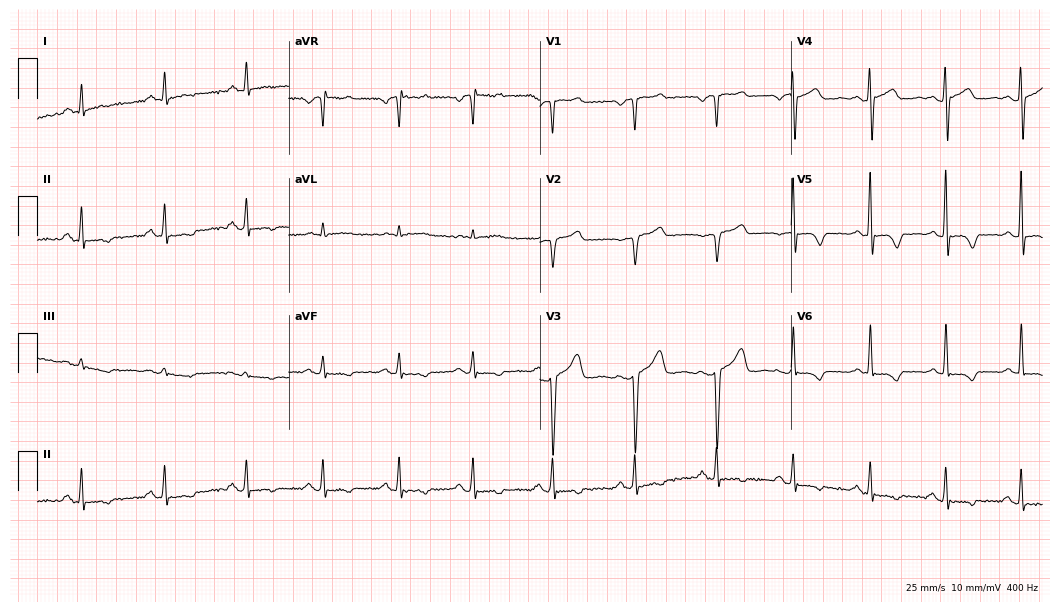
Resting 12-lead electrocardiogram (10.2-second recording at 400 Hz). Patient: a 55-year-old woman. None of these six findings is recorded: first-degree AV block, right bundle branch block (RBBB), left bundle branch block (LBBB), sinus bradycardia, atrial fibrillation (AF), sinus tachycardia. Other findings, if any, are not listed.